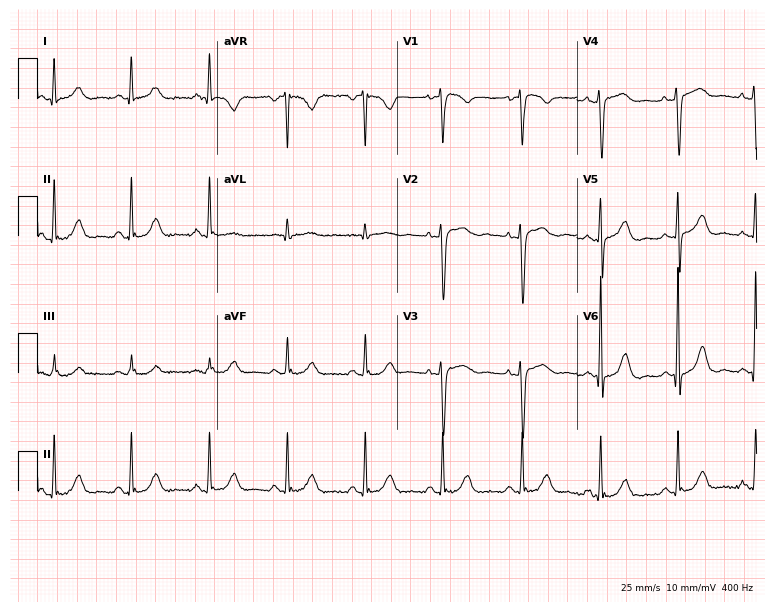
ECG — a woman, 80 years old. Screened for six findings — first-degree AV block, right bundle branch block, left bundle branch block, sinus bradycardia, atrial fibrillation, sinus tachycardia — none is recorded.